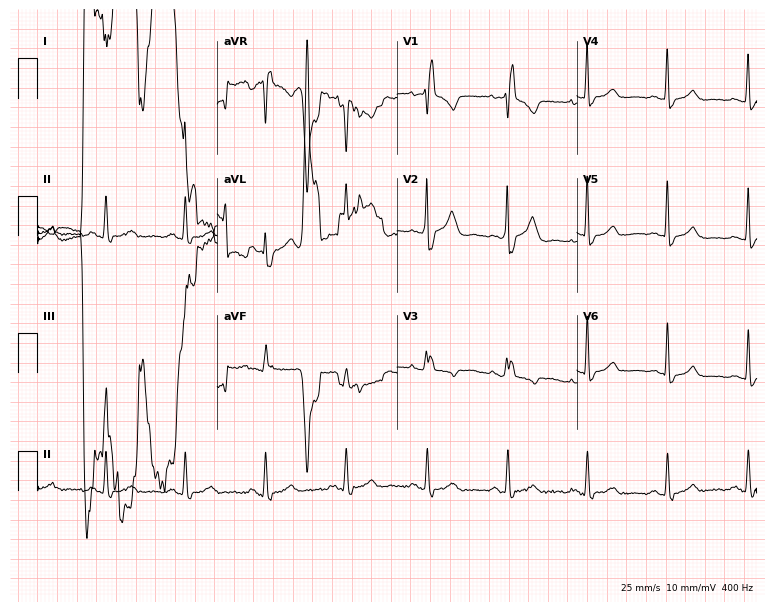
Electrocardiogram (7.3-second recording at 400 Hz), a female, 77 years old. Interpretation includes right bundle branch block.